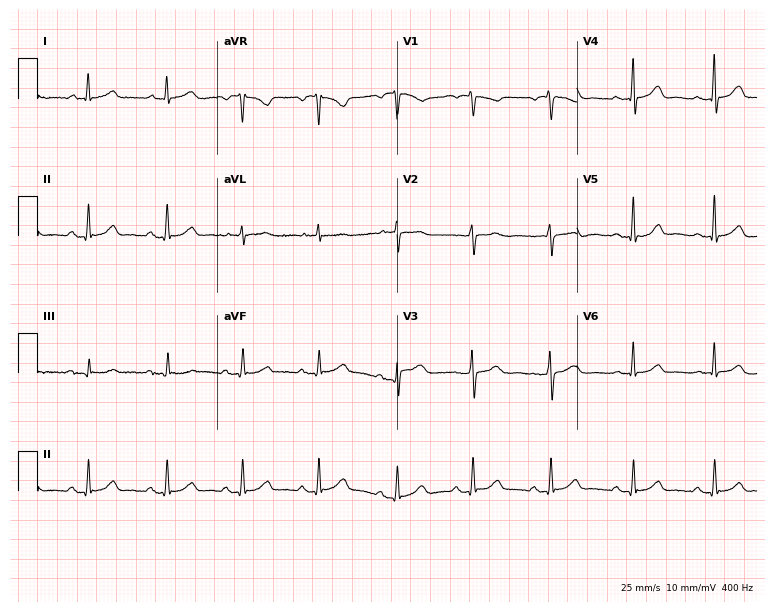
ECG — a 65-year-old woman. Labelled as a normal ECG.